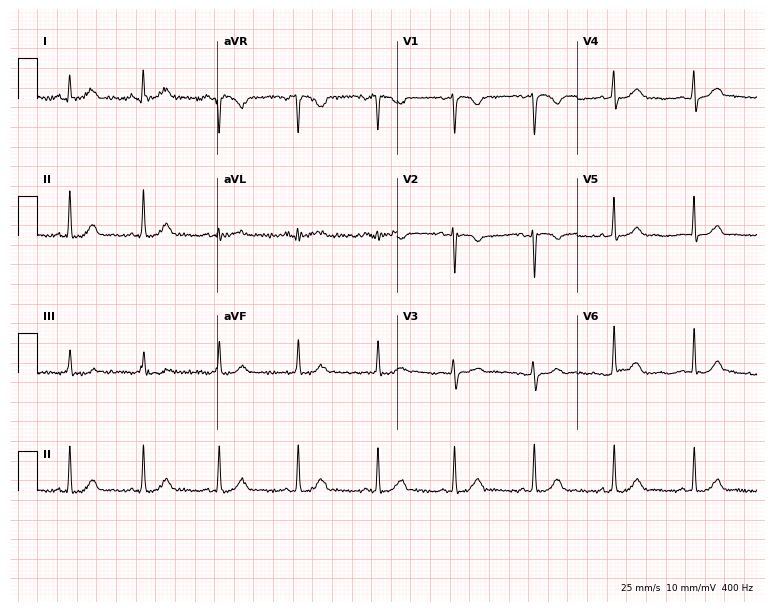
Electrocardiogram (7.3-second recording at 400 Hz), a female, 29 years old. Overall reading on record: normal ECG.